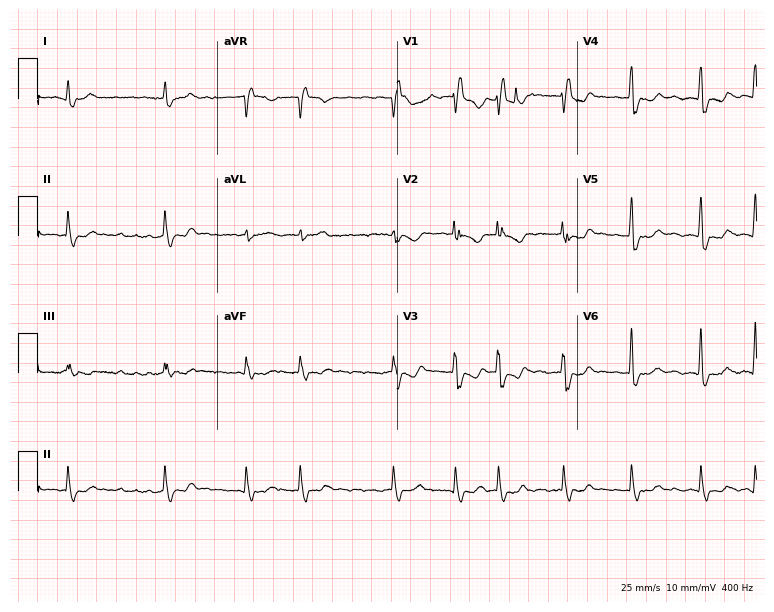
ECG — a female, 65 years old. Findings include right bundle branch block (RBBB), atrial fibrillation (AF).